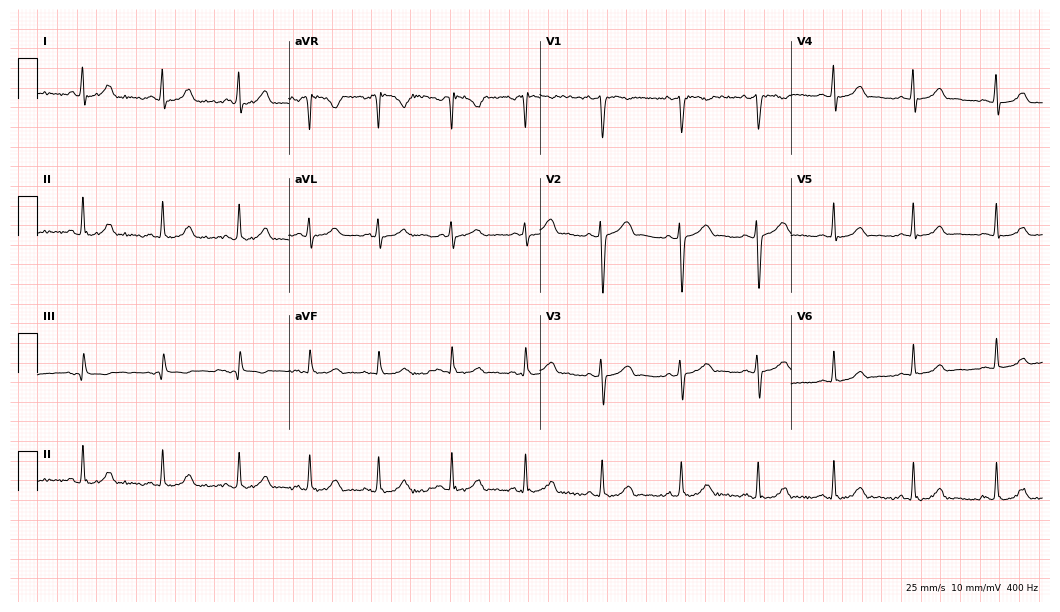
Standard 12-lead ECG recorded from a 29-year-old woman (10.2-second recording at 400 Hz). Read as a normal ECG.